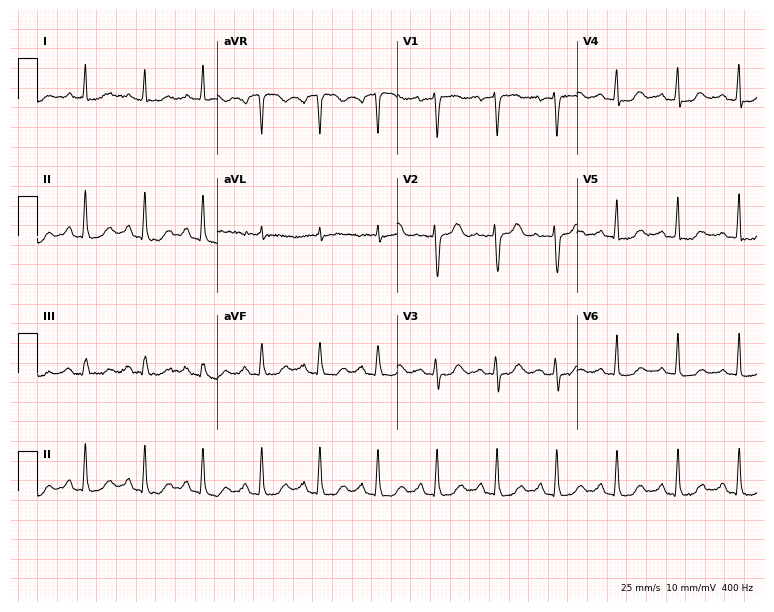
Electrocardiogram (7.3-second recording at 400 Hz), a 66-year-old female. Of the six screened findings (first-degree AV block, right bundle branch block, left bundle branch block, sinus bradycardia, atrial fibrillation, sinus tachycardia), none is recorded.